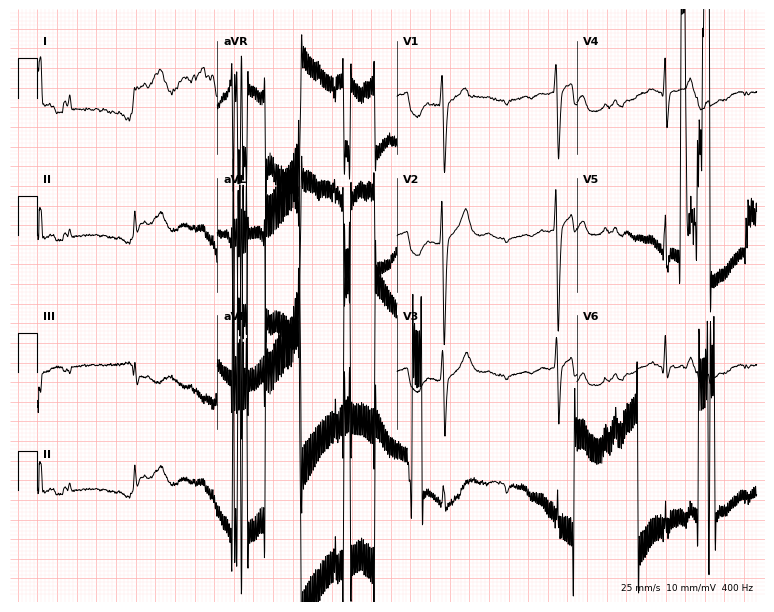
Standard 12-lead ECG recorded from a 22-year-old male patient. None of these six findings is recorded: first-degree AV block, right bundle branch block (RBBB), left bundle branch block (LBBB), sinus bradycardia, atrial fibrillation (AF), sinus tachycardia.